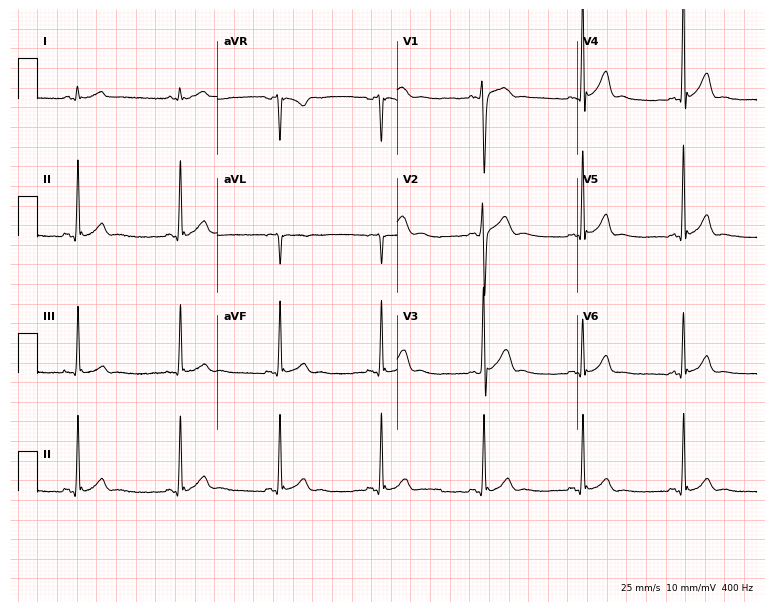
Standard 12-lead ECG recorded from a man, 28 years old. Read as a normal ECG.